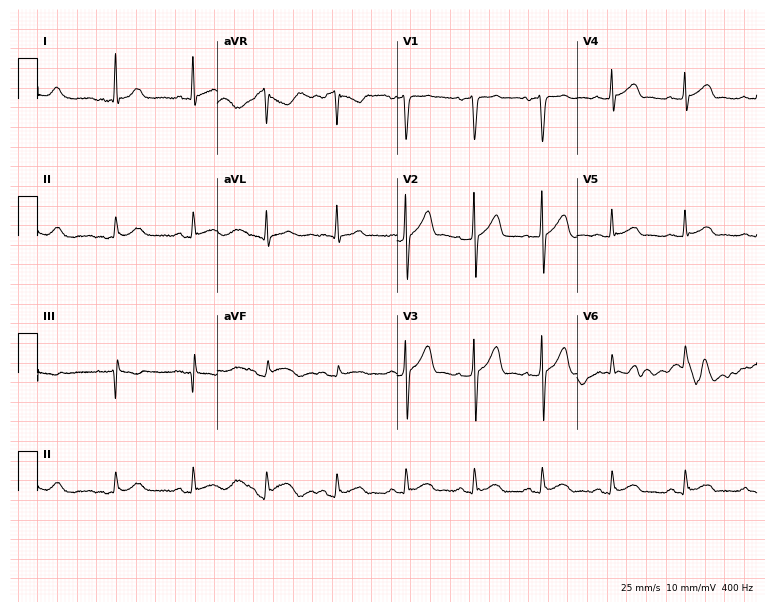
Standard 12-lead ECG recorded from a 29-year-old male. Read as a normal ECG.